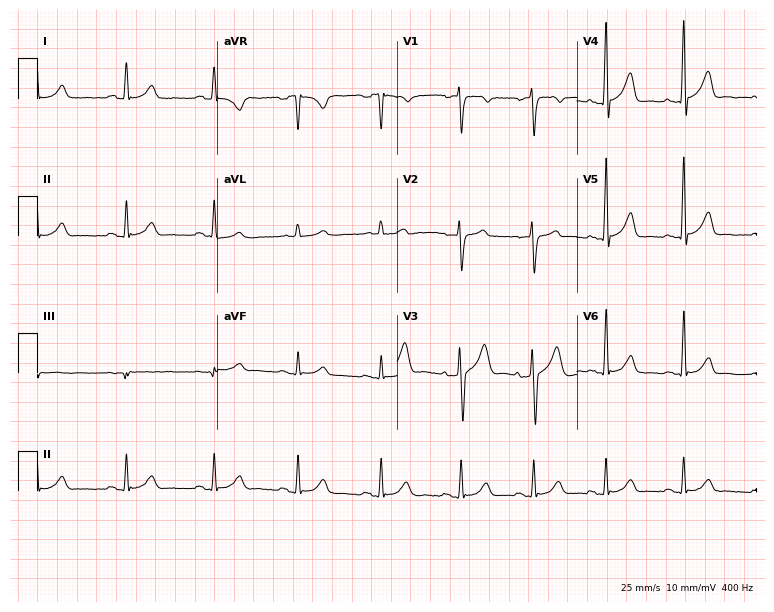
12-lead ECG from a 46-year-old male (7.3-second recording at 400 Hz). No first-degree AV block, right bundle branch block (RBBB), left bundle branch block (LBBB), sinus bradycardia, atrial fibrillation (AF) or sinus tachycardia recorded for this tracing.